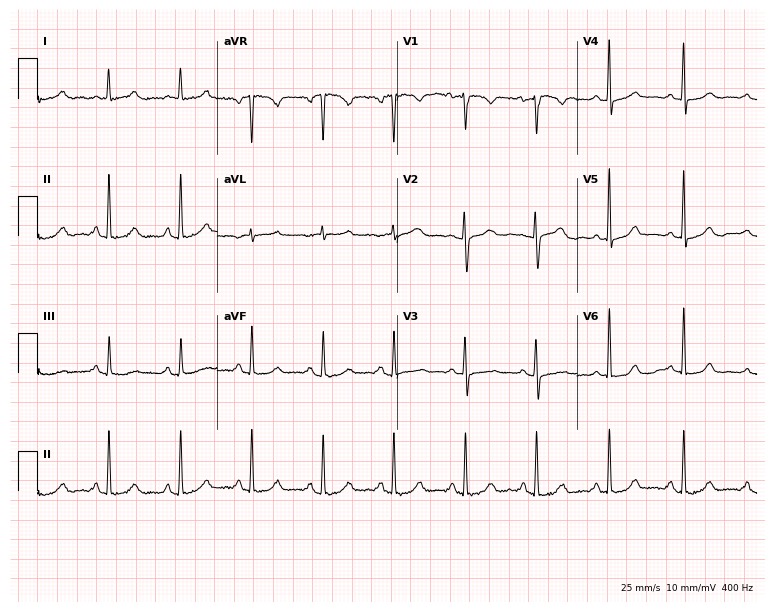
Resting 12-lead electrocardiogram. Patient: a female, 58 years old. None of these six findings is recorded: first-degree AV block, right bundle branch block, left bundle branch block, sinus bradycardia, atrial fibrillation, sinus tachycardia.